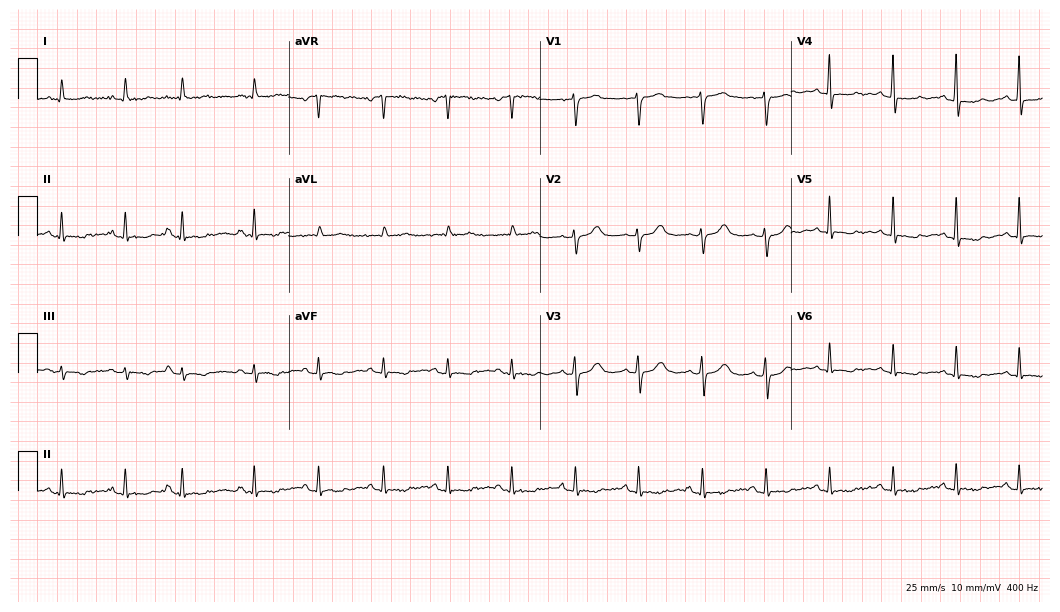
Standard 12-lead ECG recorded from a 62-year-old female patient. None of these six findings is recorded: first-degree AV block, right bundle branch block (RBBB), left bundle branch block (LBBB), sinus bradycardia, atrial fibrillation (AF), sinus tachycardia. Only these six findings were labelled.